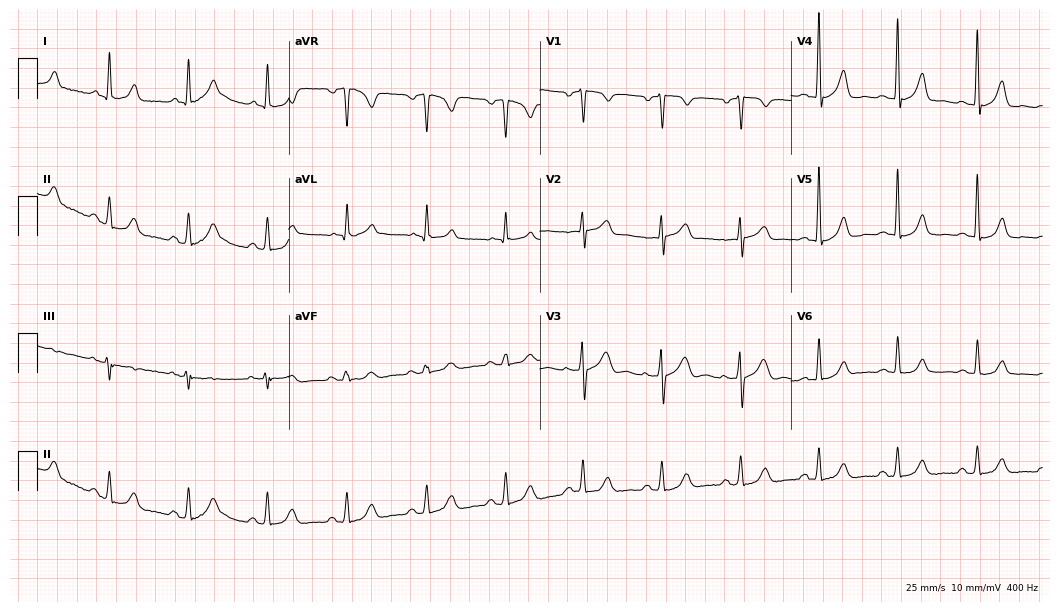
Resting 12-lead electrocardiogram. Patient: a man, 58 years old. Read as a normal ECG.